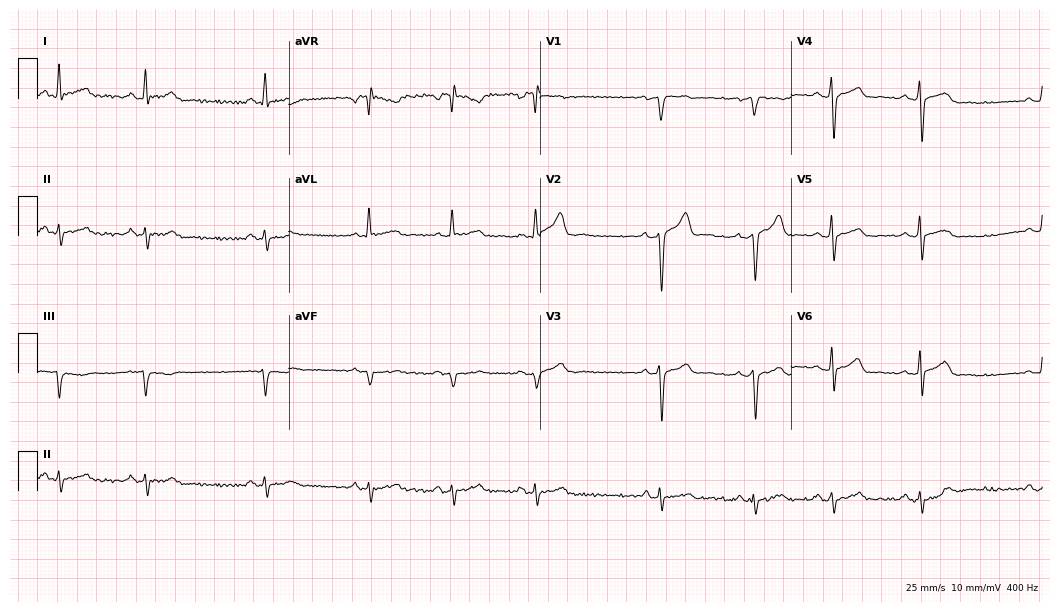
Standard 12-lead ECG recorded from a 22-year-old man (10.2-second recording at 400 Hz). None of these six findings is recorded: first-degree AV block, right bundle branch block, left bundle branch block, sinus bradycardia, atrial fibrillation, sinus tachycardia. Other findings, if any, are not listed.